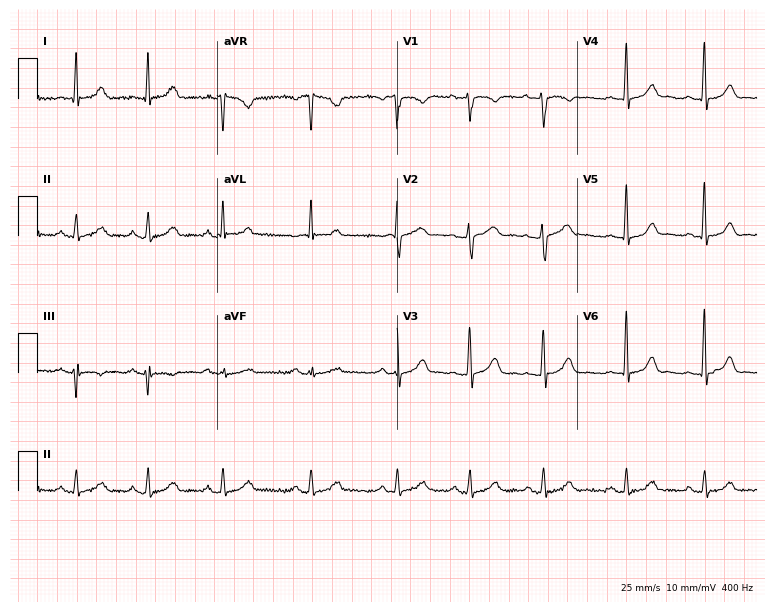
Resting 12-lead electrocardiogram (7.3-second recording at 400 Hz). Patient: a woman, 39 years old. None of these six findings is recorded: first-degree AV block, right bundle branch block (RBBB), left bundle branch block (LBBB), sinus bradycardia, atrial fibrillation (AF), sinus tachycardia. Other findings, if any, are not listed.